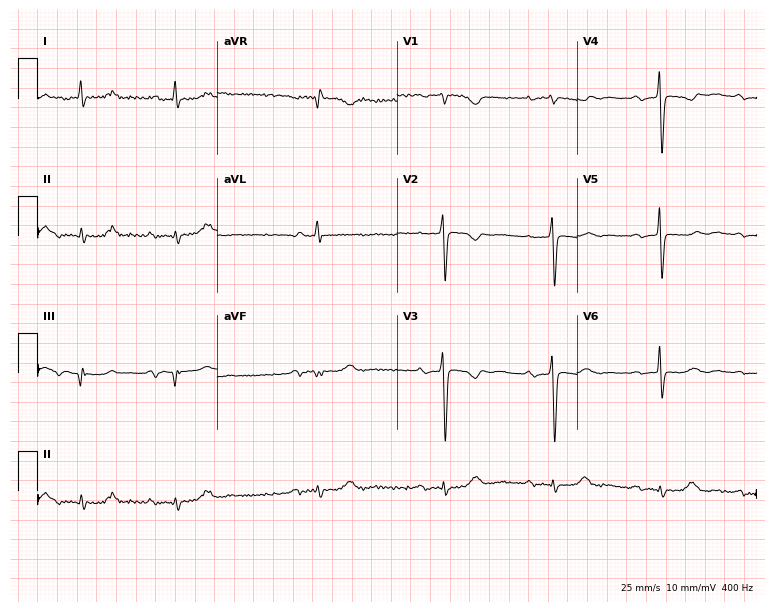
Standard 12-lead ECG recorded from a female, 75 years old. The tracing shows first-degree AV block.